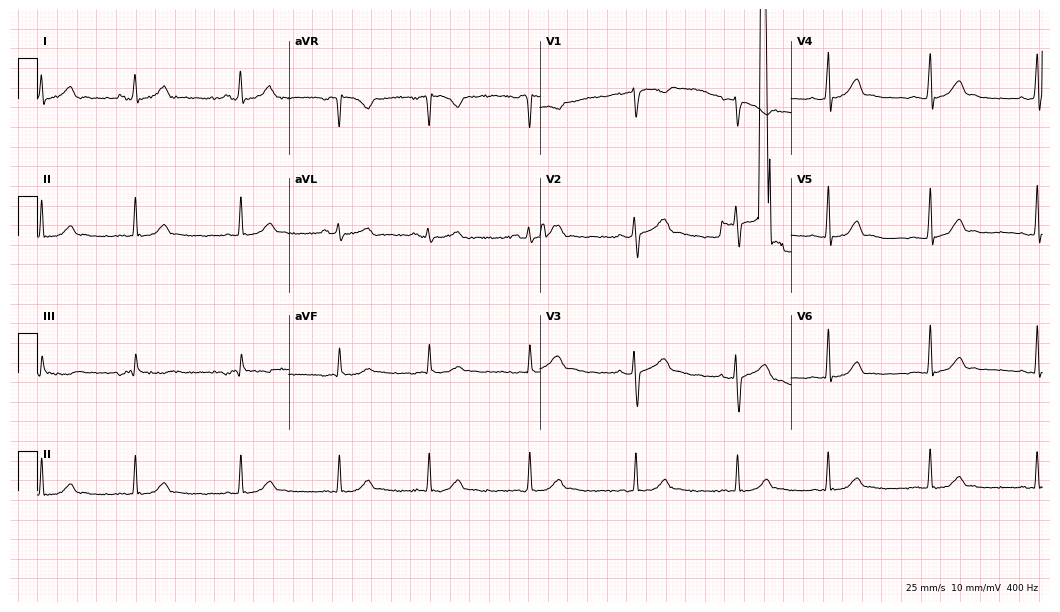
Electrocardiogram, a female, 21 years old. Overall reading on record: normal ECG.